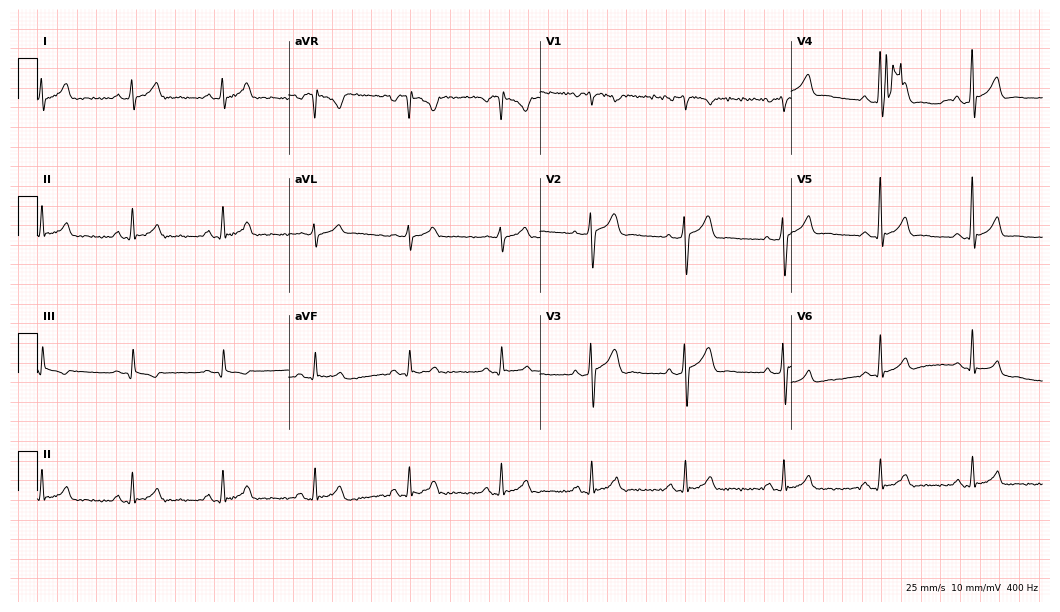
Standard 12-lead ECG recorded from a male, 42 years old (10.2-second recording at 400 Hz). None of these six findings is recorded: first-degree AV block, right bundle branch block, left bundle branch block, sinus bradycardia, atrial fibrillation, sinus tachycardia.